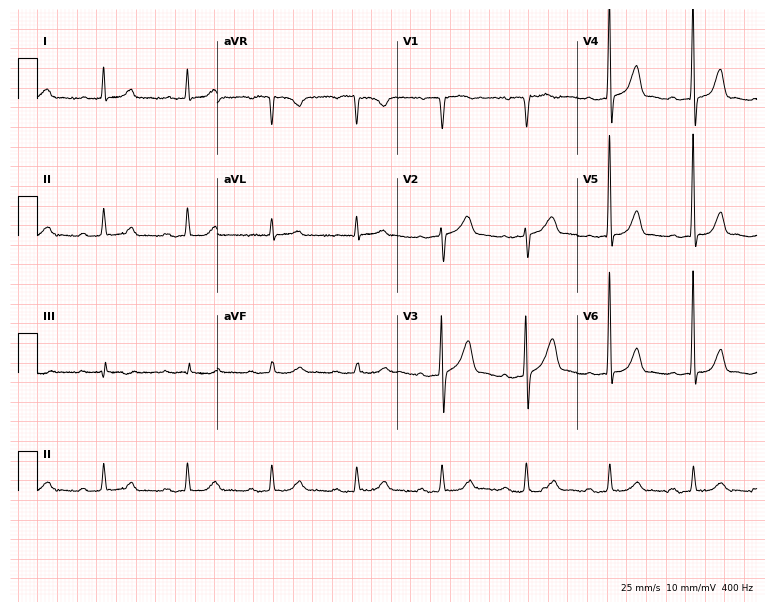
Electrocardiogram (7.3-second recording at 400 Hz), a 69-year-old man. Overall reading on record: normal ECG.